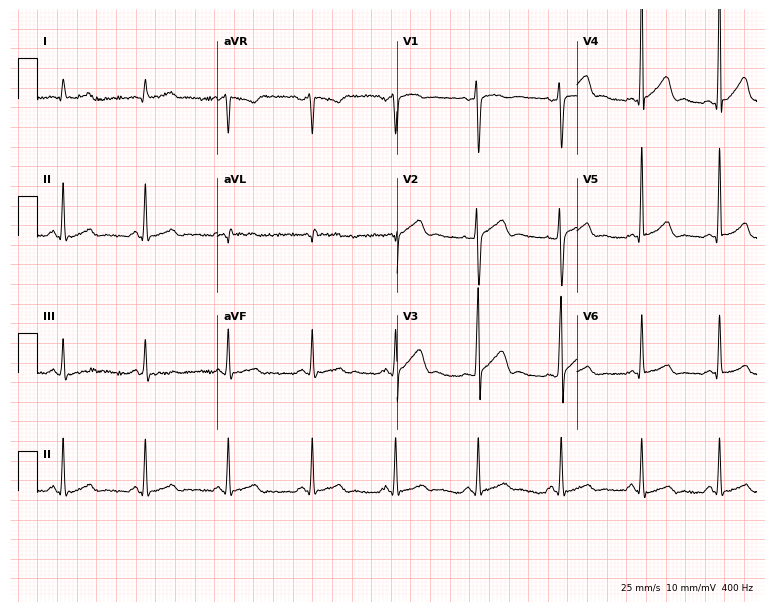
ECG (7.3-second recording at 400 Hz) — a man, 45 years old. Screened for six findings — first-degree AV block, right bundle branch block, left bundle branch block, sinus bradycardia, atrial fibrillation, sinus tachycardia — none is recorded. Findings outside these six are not listed.